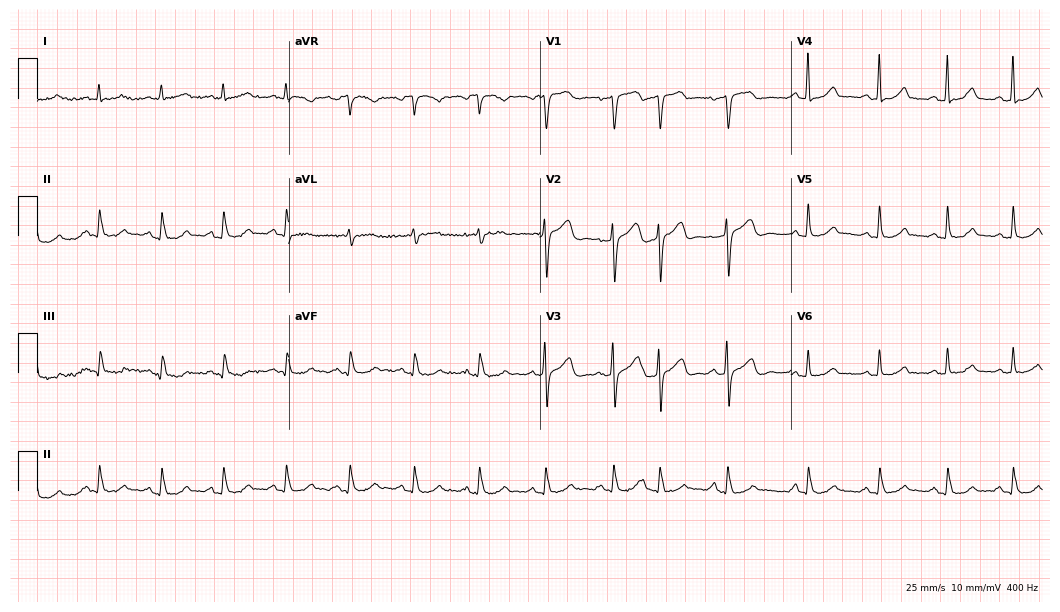
Standard 12-lead ECG recorded from a 73-year-old woman. None of these six findings is recorded: first-degree AV block, right bundle branch block (RBBB), left bundle branch block (LBBB), sinus bradycardia, atrial fibrillation (AF), sinus tachycardia. Other findings, if any, are not listed.